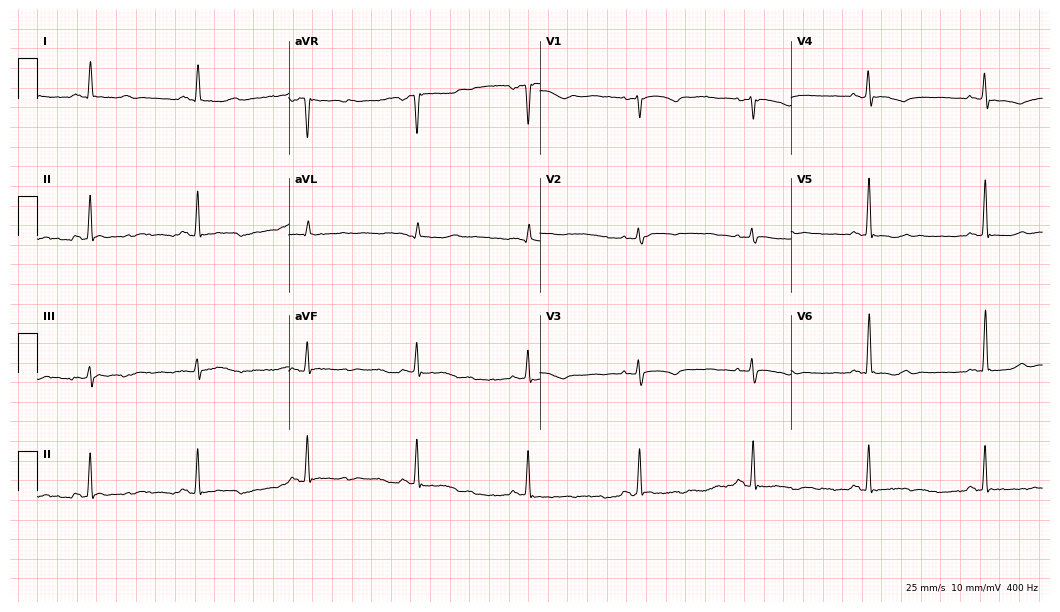
Electrocardiogram, a female patient, 62 years old. Of the six screened findings (first-degree AV block, right bundle branch block, left bundle branch block, sinus bradycardia, atrial fibrillation, sinus tachycardia), none is recorded. Findings outside these six are not listed.